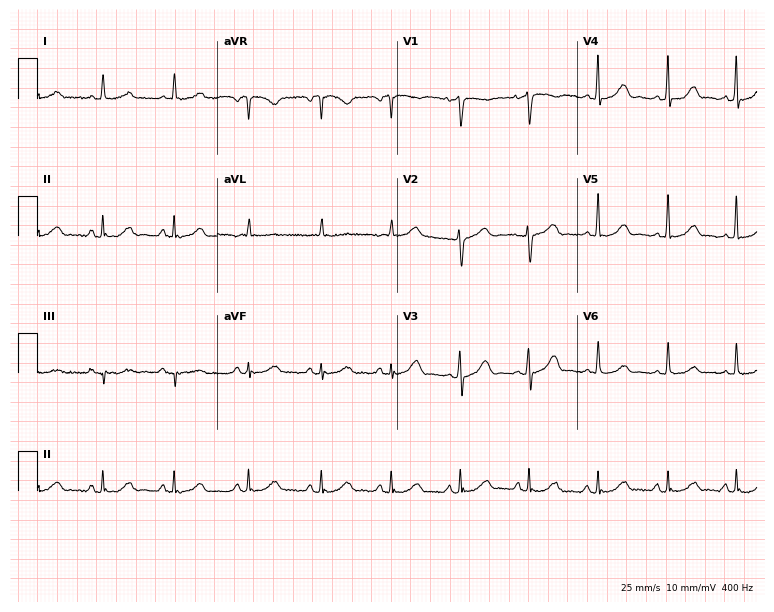
Resting 12-lead electrocardiogram. Patient: a 62-year-old female. Read as a normal ECG.